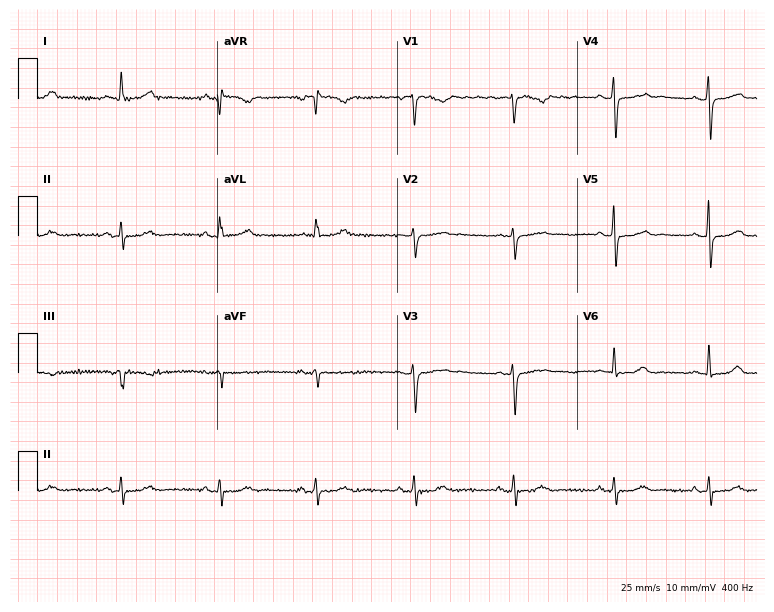
Electrocardiogram (7.3-second recording at 400 Hz), a 60-year-old female. Overall reading on record: normal ECG.